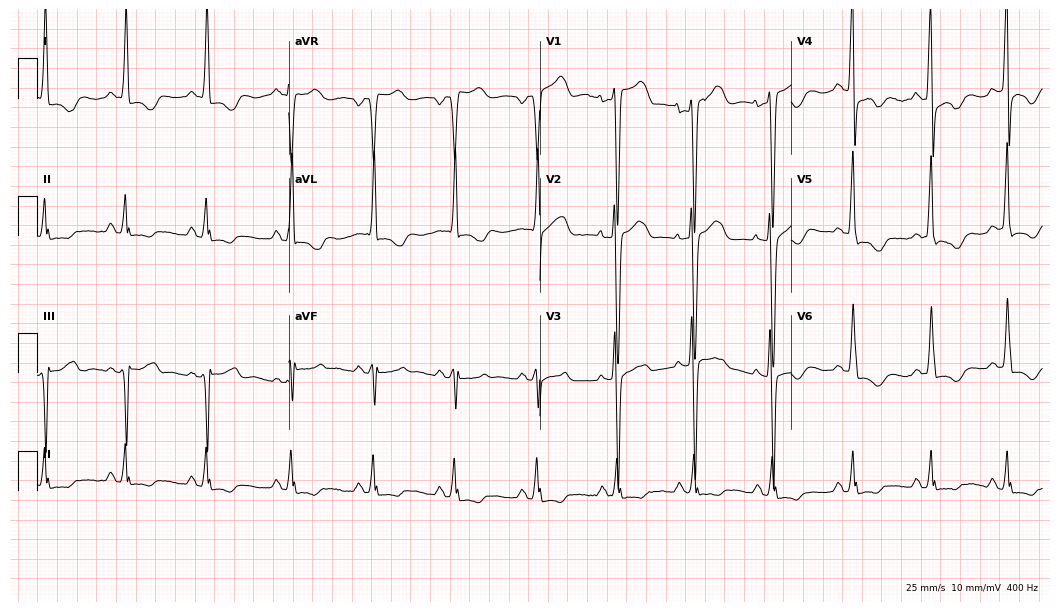
12-lead ECG (10.2-second recording at 400 Hz) from a 43-year-old man. Screened for six findings — first-degree AV block, right bundle branch block (RBBB), left bundle branch block (LBBB), sinus bradycardia, atrial fibrillation (AF), sinus tachycardia — none is recorded. Findings outside these six are not listed.